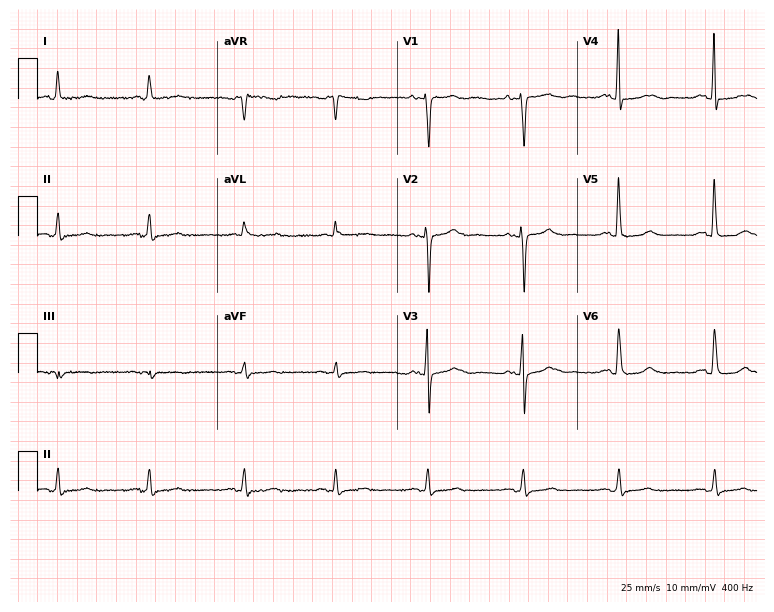
Standard 12-lead ECG recorded from a woman, 74 years old. Read as a normal ECG.